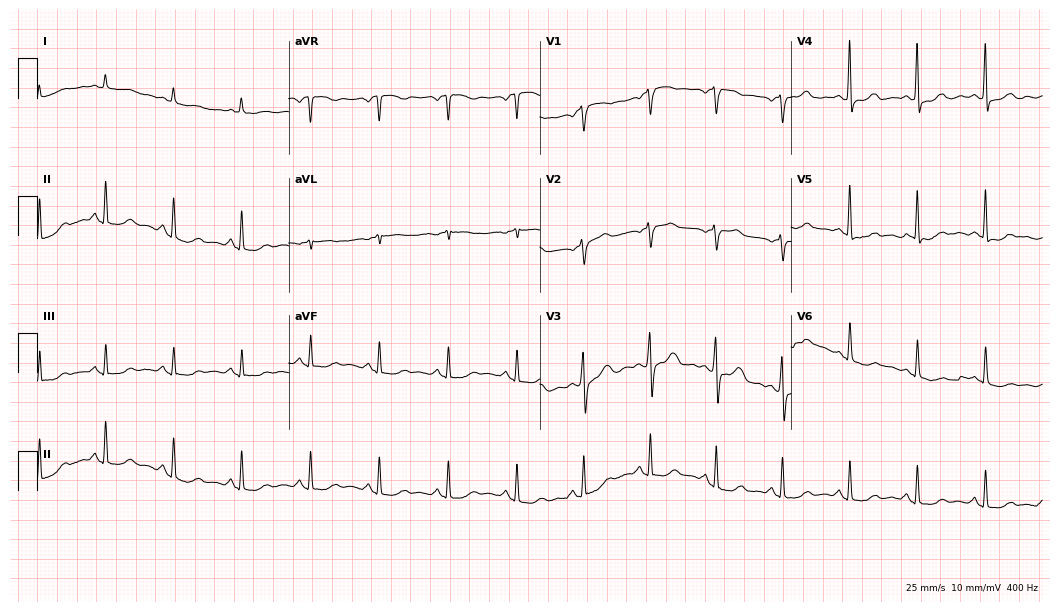
ECG (10.2-second recording at 400 Hz) — a 67-year-old woman. Labelled as a normal ECG.